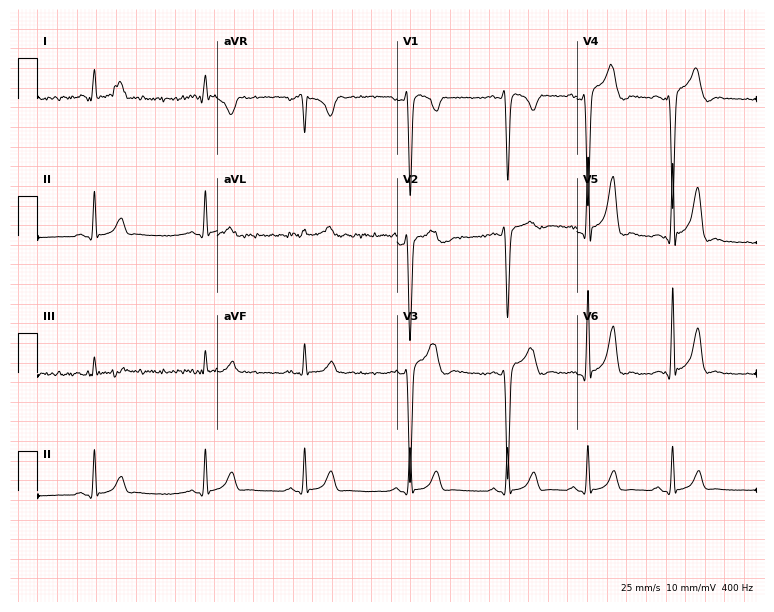
12-lead ECG (7.3-second recording at 400 Hz) from a 33-year-old male patient. Screened for six findings — first-degree AV block, right bundle branch block, left bundle branch block, sinus bradycardia, atrial fibrillation, sinus tachycardia — none is recorded.